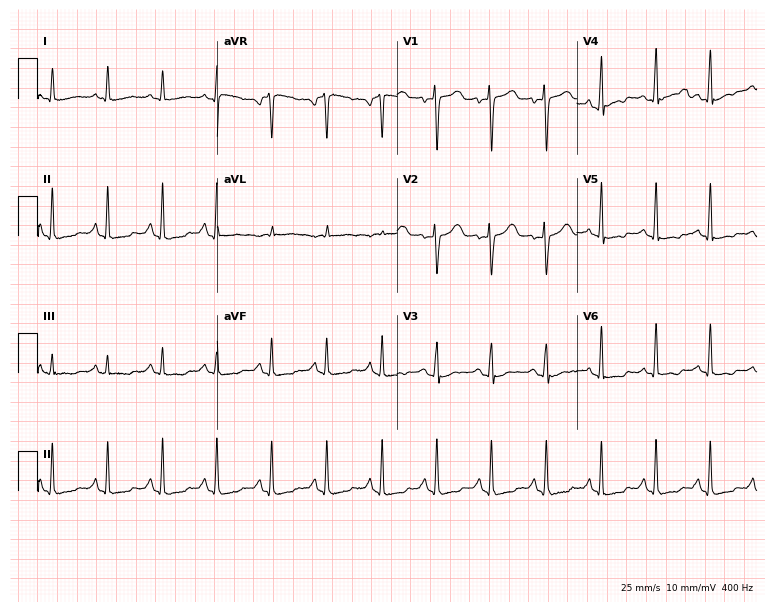
Resting 12-lead electrocardiogram (7.3-second recording at 400 Hz). Patient: a woman, 43 years old. None of these six findings is recorded: first-degree AV block, right bundle branch block (RBBB), left bundle branch block (LBBB), sinus bradycardia, atrial fibrillation (AF), sinus tachycardia.